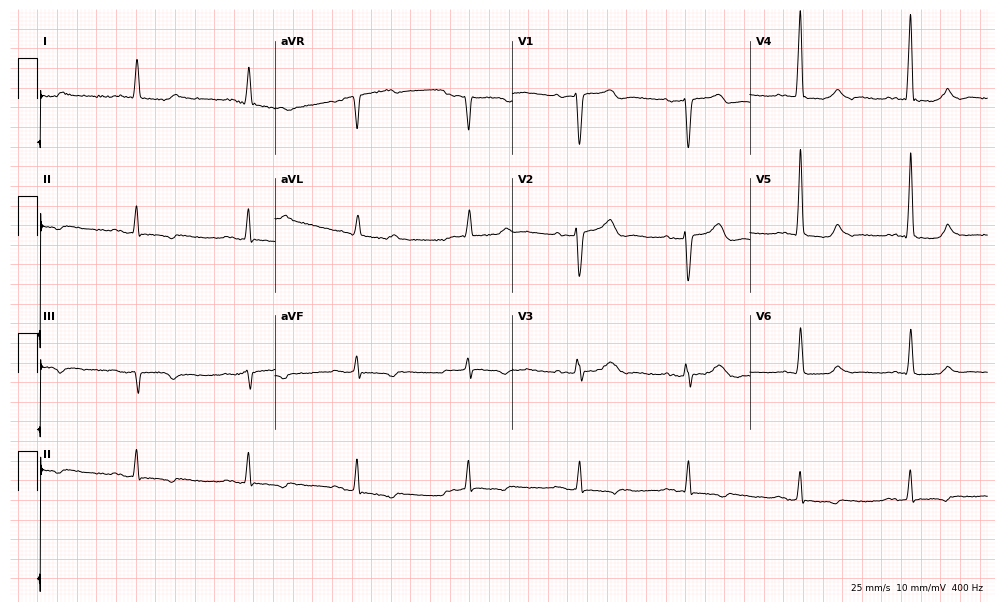
Resting 12-lead electrocardiogram. Patient: a male, 75 years old. None of these six findings is recorded: first-degree AV block, right bundle branch block, left bundle branch block, sinus bradycardia, atrial fibrillation, sinus tachycardia.